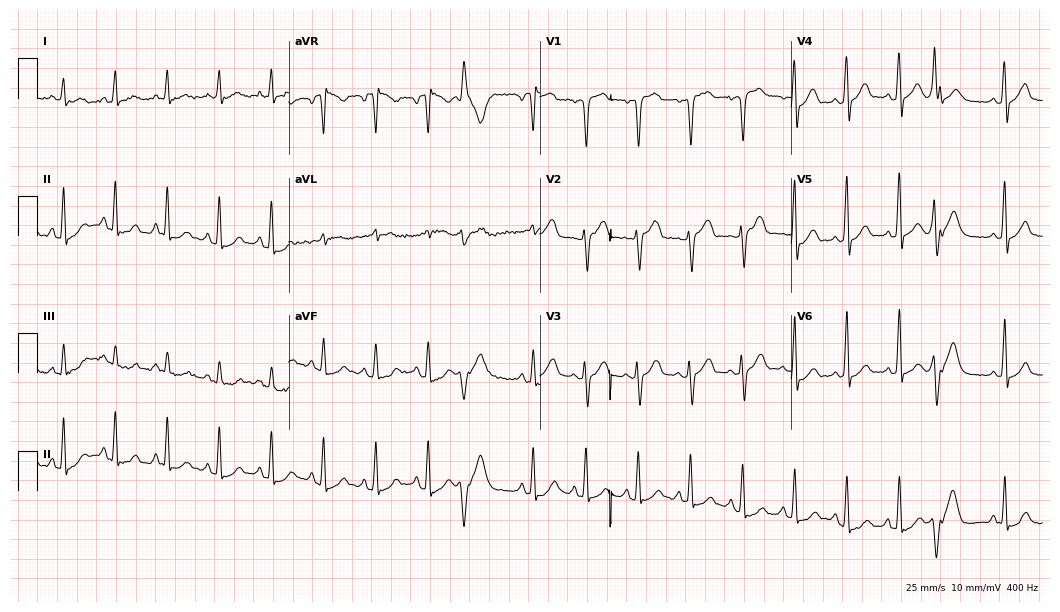
Standard 12-lead ECG recorded from a 59-year-old female patient. The tracing shows sinus tachycardia (a sinus rate of 100 beats per minute or more).